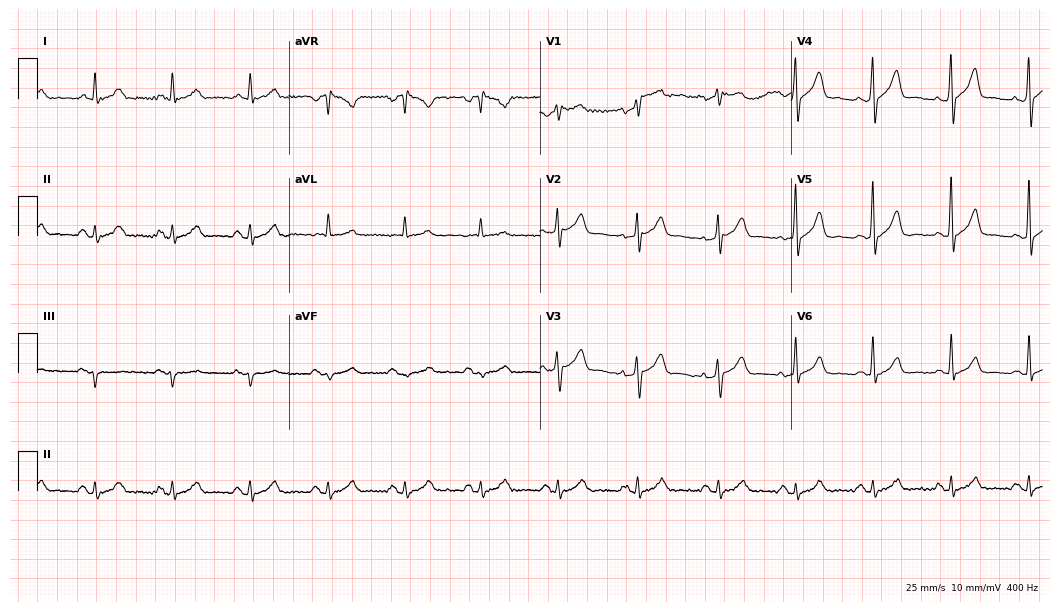
12-lead ECG (10.2-second recording at 400 Hz) from a male patient, 52 years old. Labelled as a normal ECG.